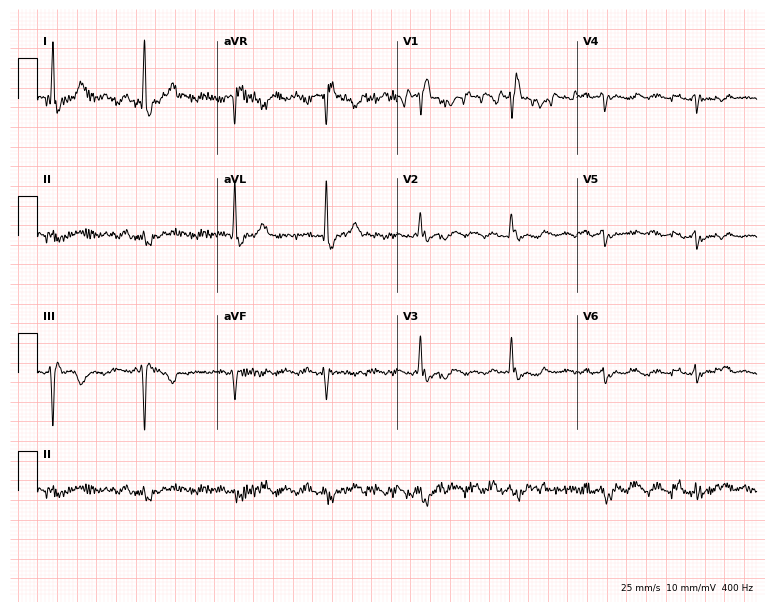
12-lead ECG from a 63-year-old female patient. No first-degree AV block, right bundle branch block (RBBB), left bundle branch block (LBBB), sinus bradycardia, atrial fibrillation (AF) or sinus tachycardia recorded for this tracing. Findings outside these six are not listed.